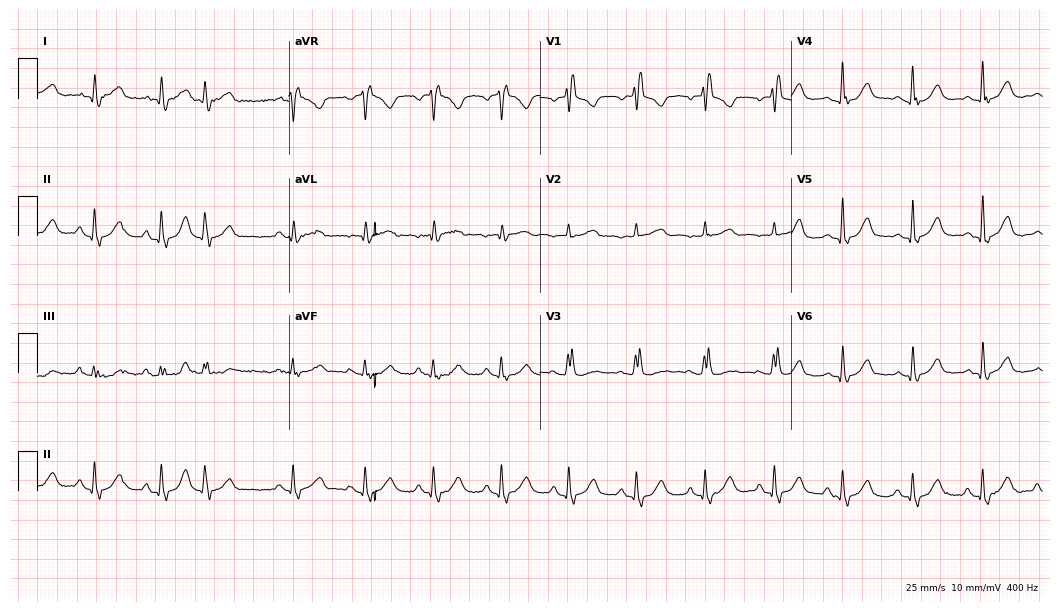
Resting 12-lead electrocardiogram. Patient: a female, 79 years old. The tracing shows right bundle branch block.